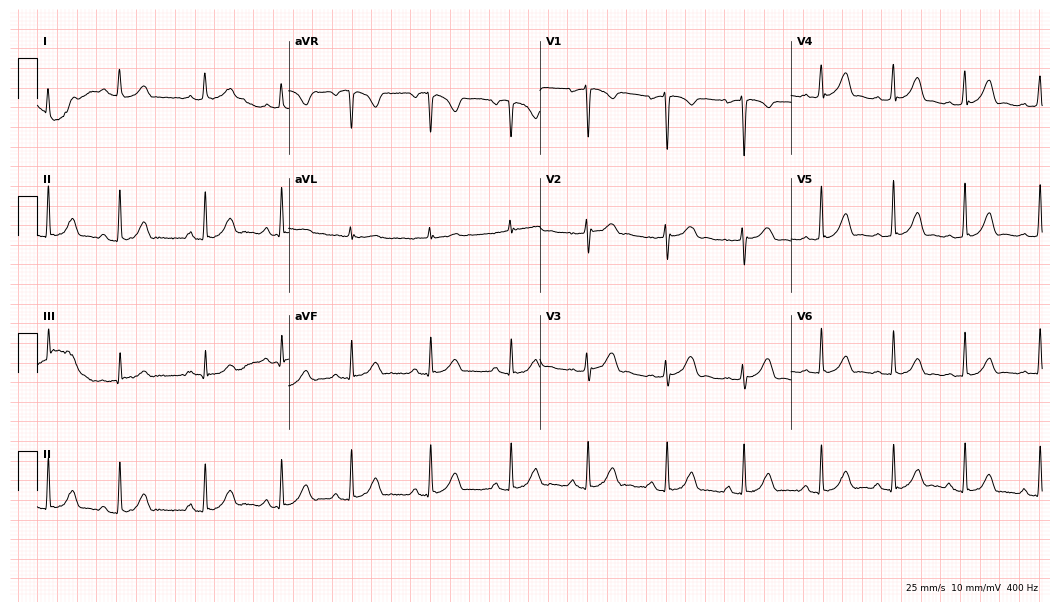
12-lead ECG (10.2-second recording at 400 Hz) from a female, 27 years old. Labelled as a normal ECG.